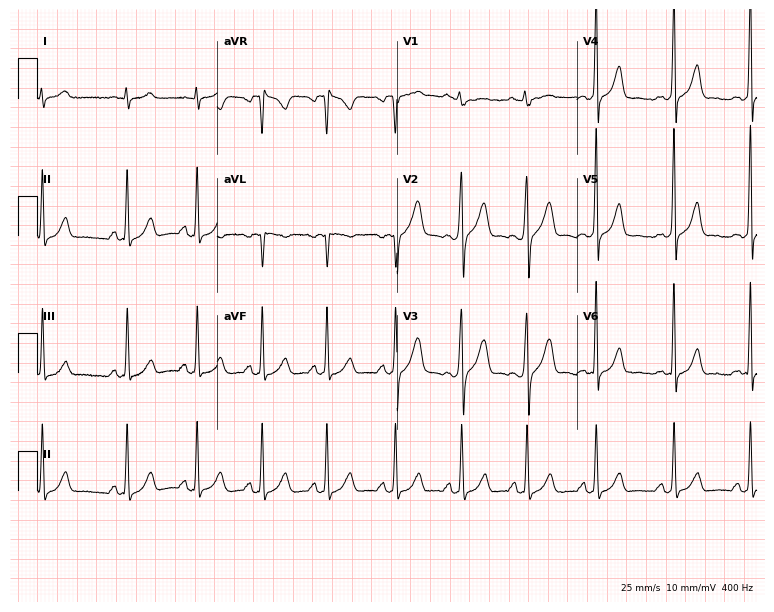
ECG — a male, 36 years old. Labelled as a normal ECG.